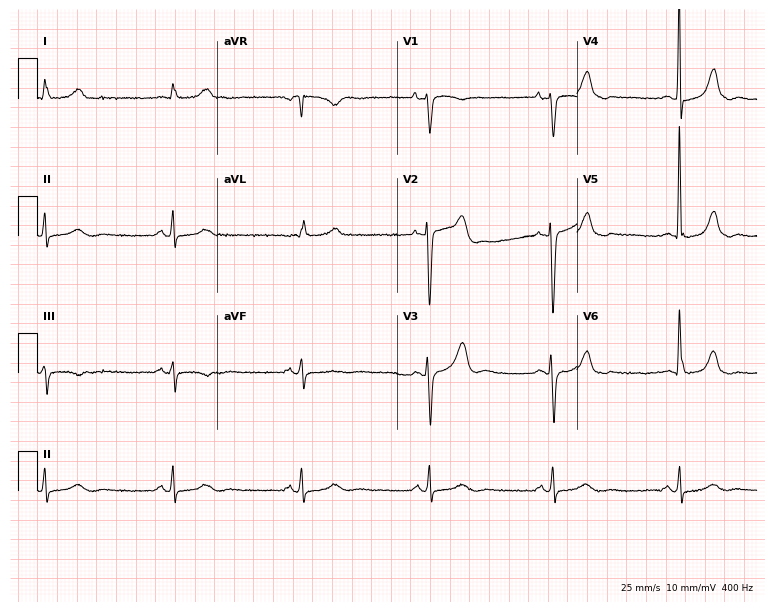
12-lead ECG from a female, 71 years old. Shows sinus bradycardia (a sinus rate of 50 beats per minute or less).